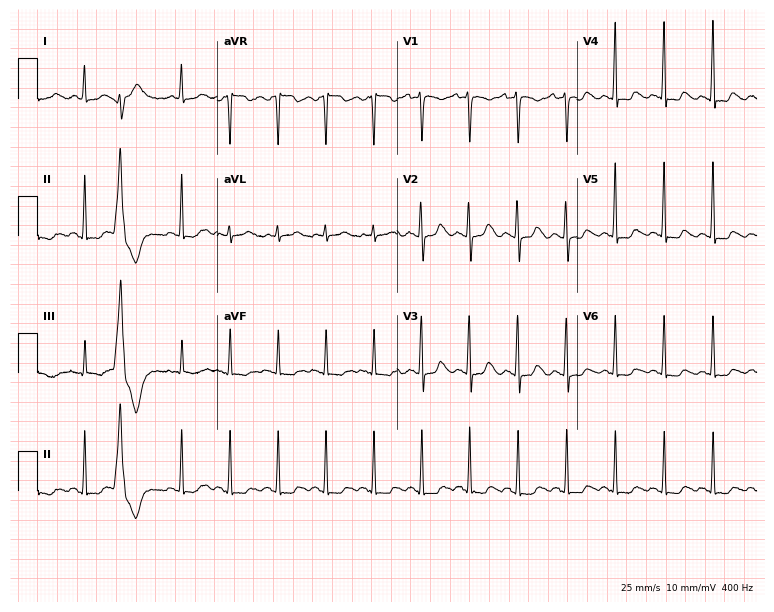
Electrocardiogram, a 40-year-old female. Interpretation includes sinus tachycardia (a sinus rate of 100 beats per minute or more).